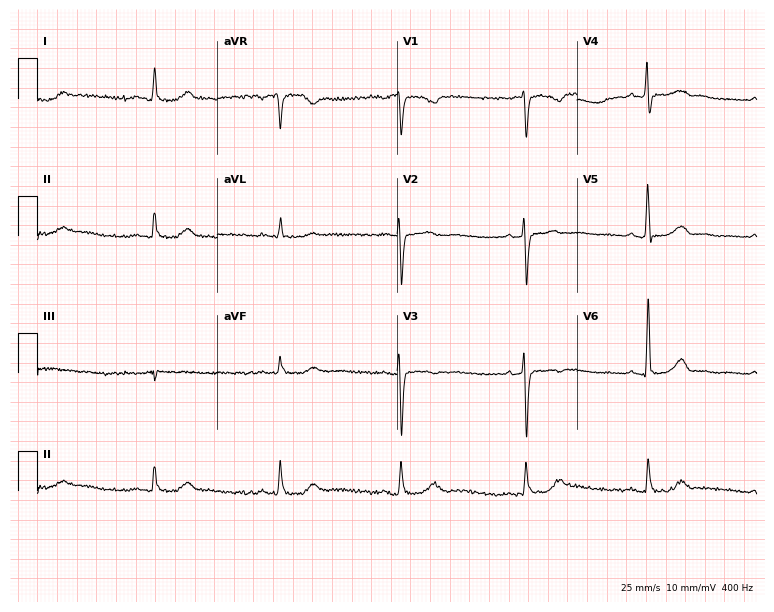
Electrocardiogram, a 53-year-old man. Of the six screened findings (first-degree AV block, right bundle branch block, left bundle branch block, sinus bradycardia, atrial fibrillation, sinus tachycardia), none is recorded. Other findings, if any, are not listed.